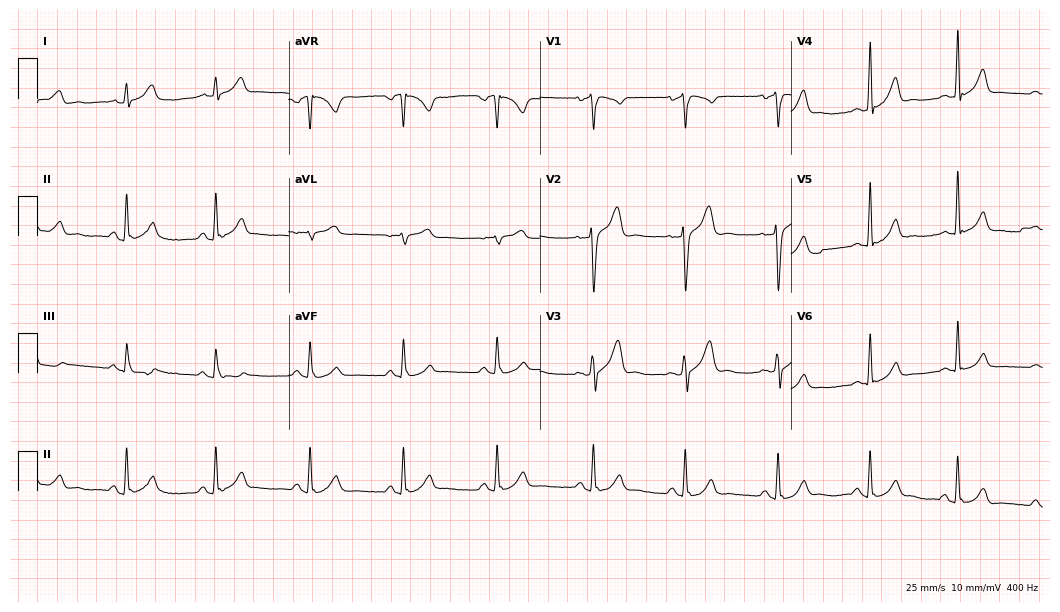
12-lead ECG from a 35-year-old male patient. Labelled as a normal ECG.